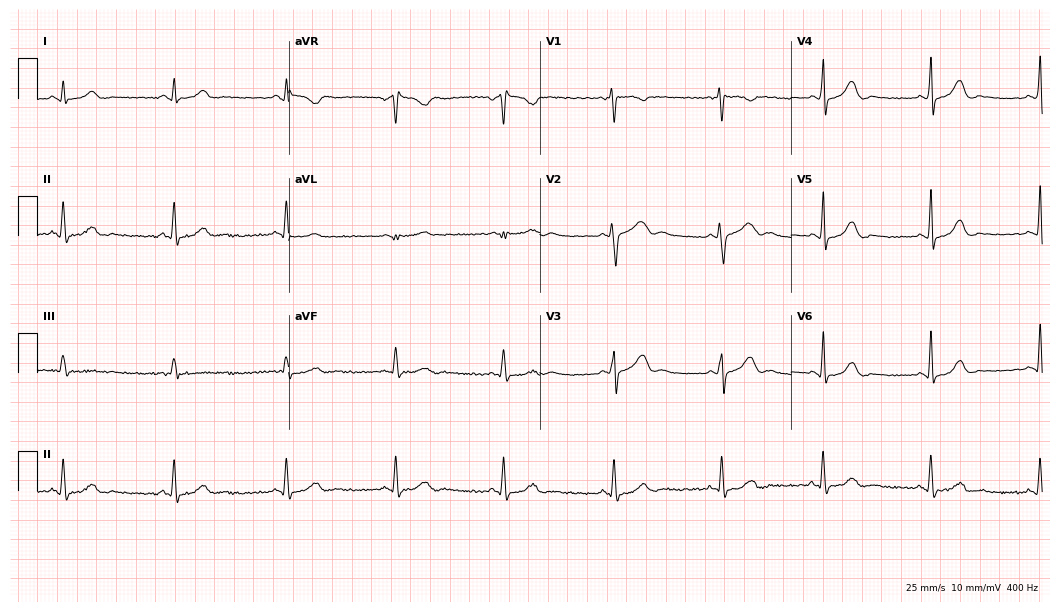
Electrocardiogram (10.2-second recording at 400 Hz), a 25-year-old female patient. Overall reading on record: normal ECG.